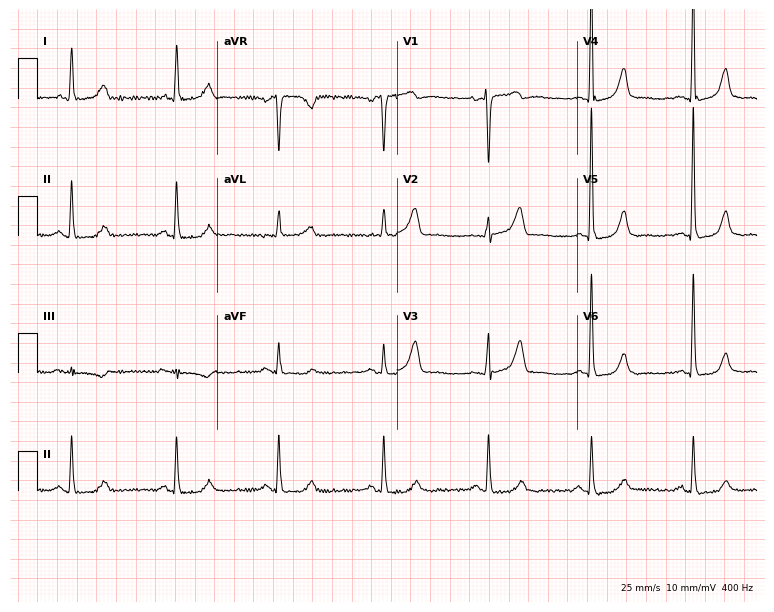
ECG (7.3-second recording at 400 Hz) — a 56-year-old female patient. Labelled as a normal ECG.